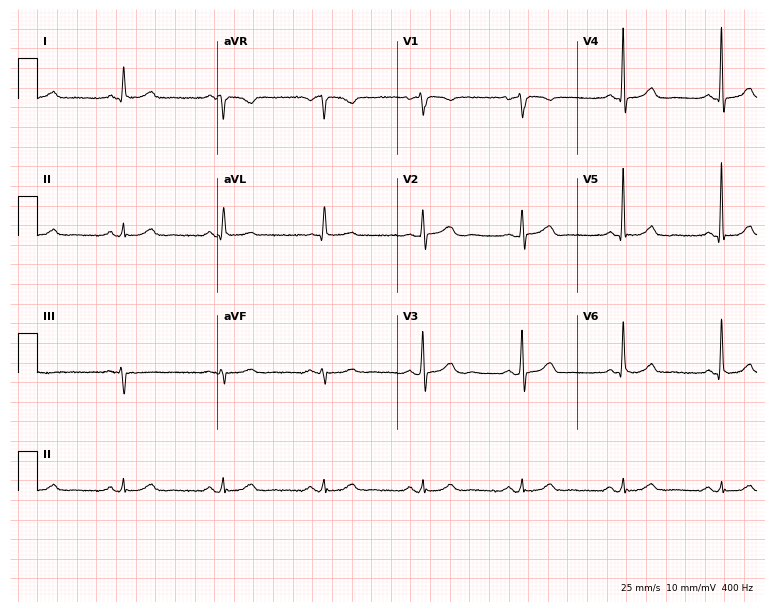
ECG — an 80-year-old female patient. Labelled as a normal ECG.